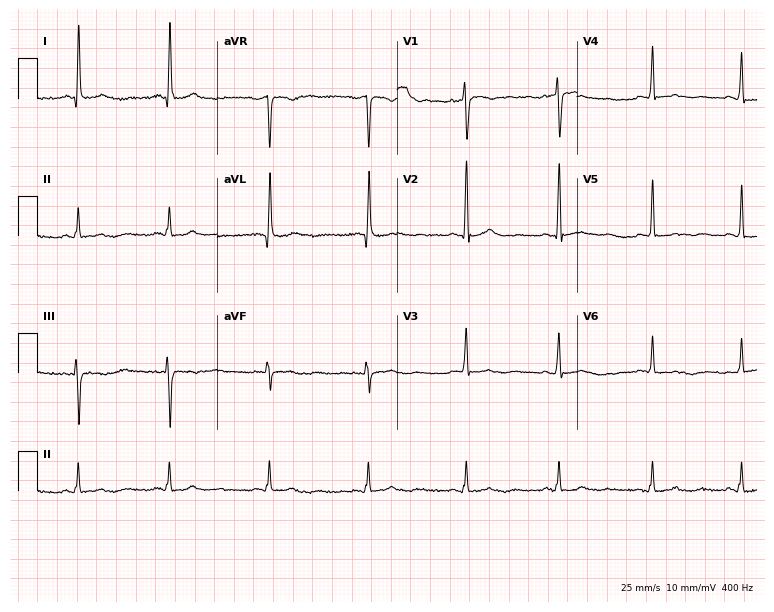
Standard 12-lead ECG recorded from a 54-year-old female. None of these six findings is recorded: first-degree AV block, right bundle branch block, left bundle branch block, sinus bradycardia, atrial fibrillation, sinus tachycardia.